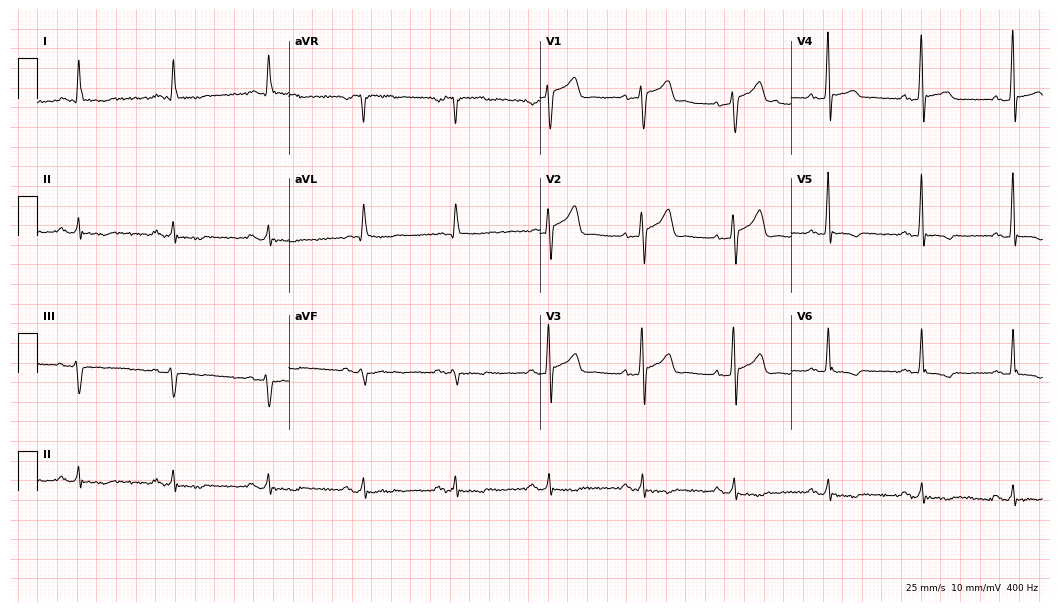
Resting 12-lead electrocardiogram (10.2-second recording at 400 Hz). Patient: a man, 66 years old. Read as a normal ECG.